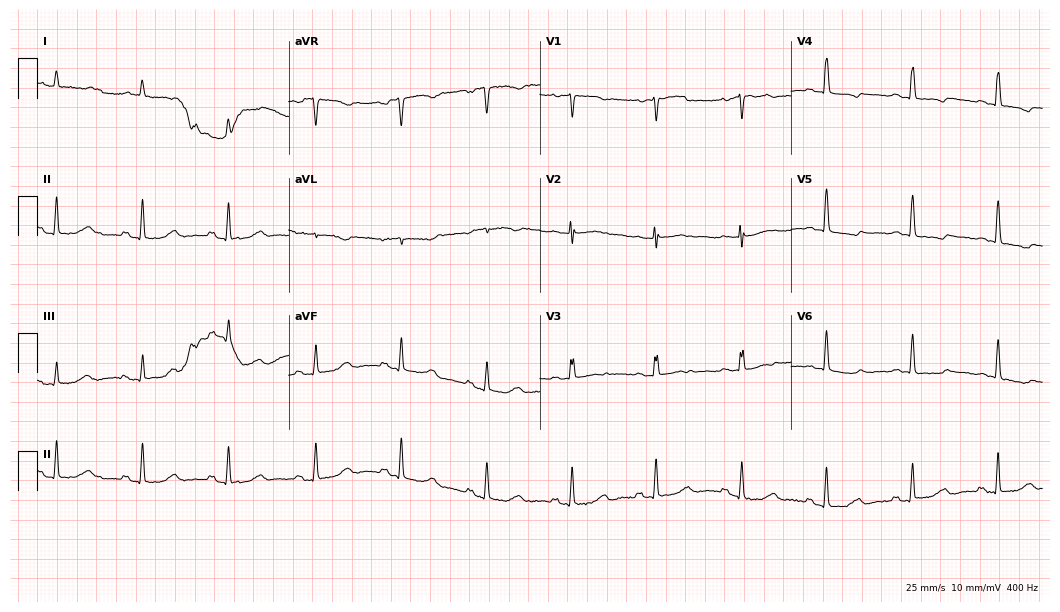
12-lead ECG (10.2-second recording at 400 Hz) from a female, 79 years old. Screened for six findings — first-degree AV block, right bundle branch block (RBBB), left bundle branch block (LBBB), sinus bradycardia, atrial fibrillation (AF), sinus tachycardia — none is recorded.